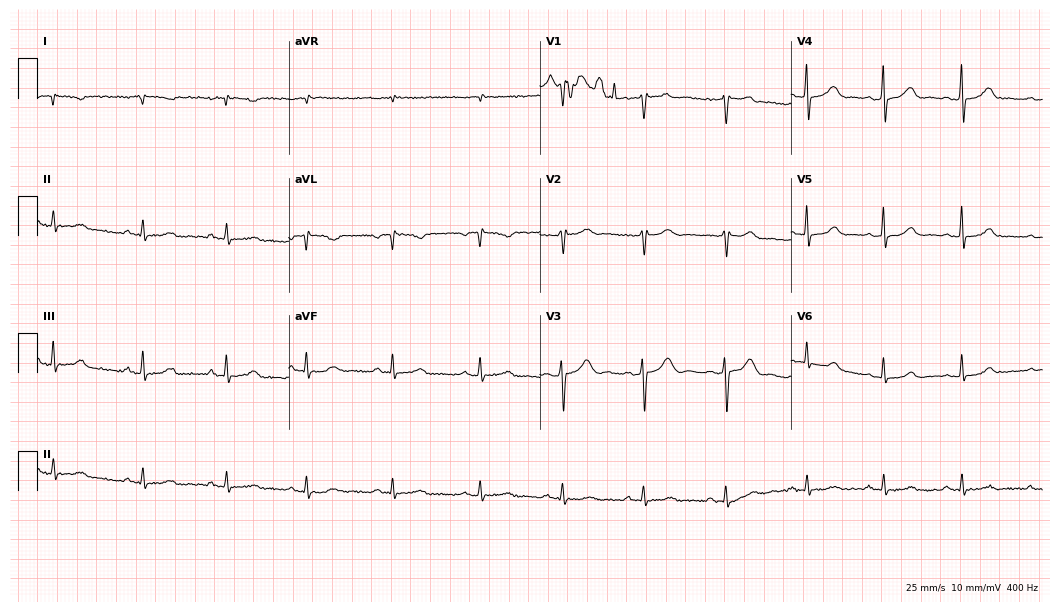
12-lead ECG from a woman, 31 years old. No first-degree AV block, right bundle branch block (RBBB), left bundle branch block (LBBB), sinus bradycardia, atrial fibrillation (AF) or sinus tachycardia recorded for this tracing.